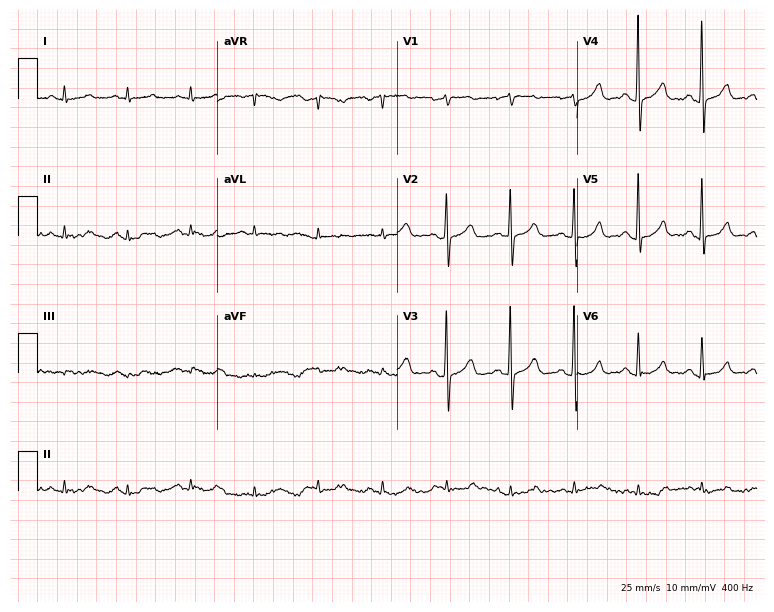
Electrocardiogram (7.3-second recording at 400 Hz), an 81-year-old male. Of the six screened findings (first-degree AV block, right bundle branch block, left bundle branch block, sinus bradycardia, atrial fibrillation, sinus tachycardia), none is recorded. Other findings, if any, are not listed.